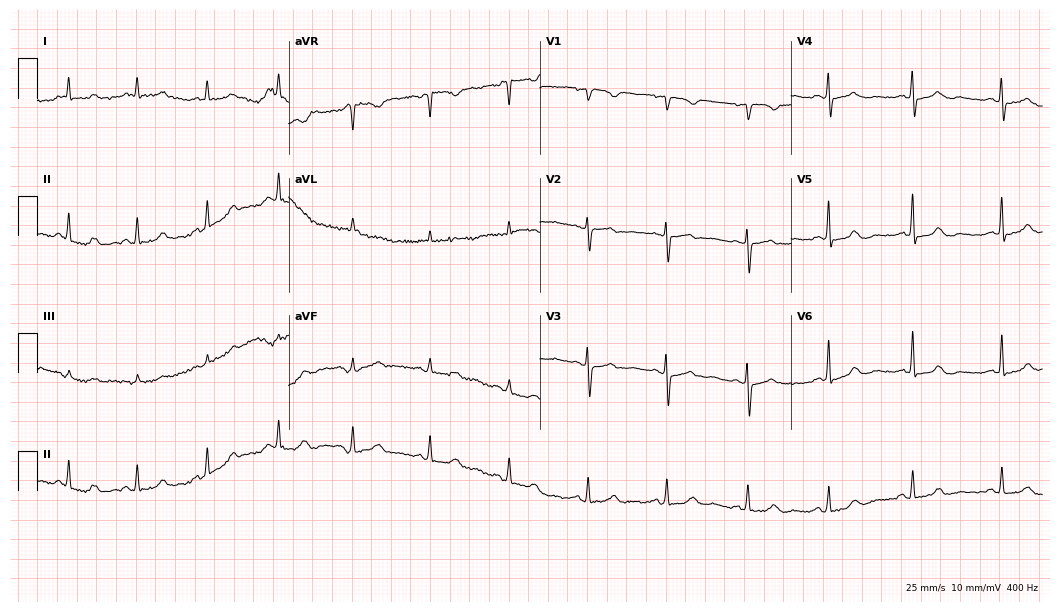
Standard 12-lead ECG recorded from a female, 77 years old (10.2-second recording at 400 Hz). Read as a normal ECG.